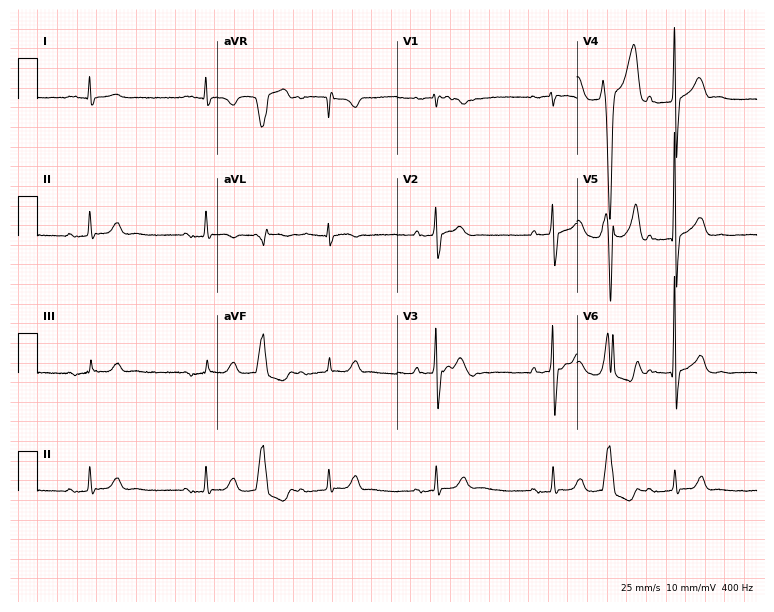
12-lead ECG from a man, 72 years old (7.3-second recording at 400 Hz). Shows first-degree AV block.